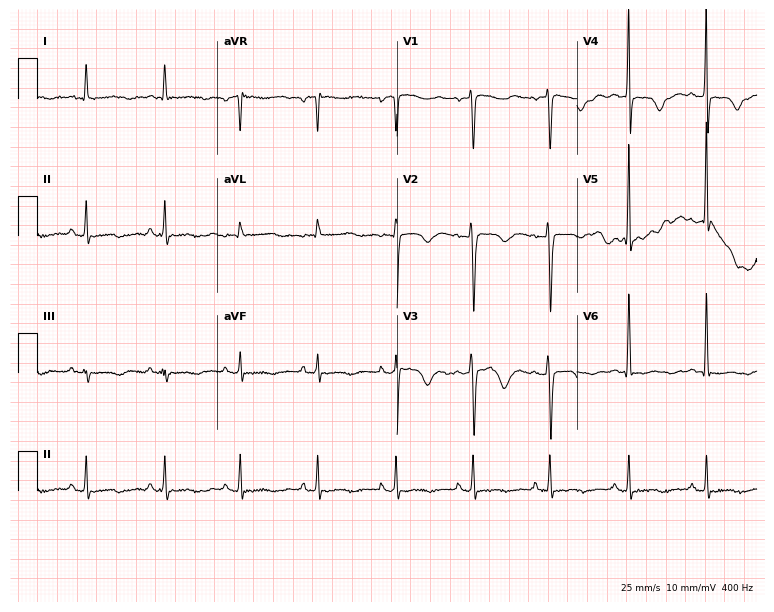
12-lead ECG from a 58-year-old male. Screened for six findings — first-degree AV block, right bundle branch block, left bundle branch block, sinus bradycardia, atrial fibrillation, sinus tachycardia — none is recorded.